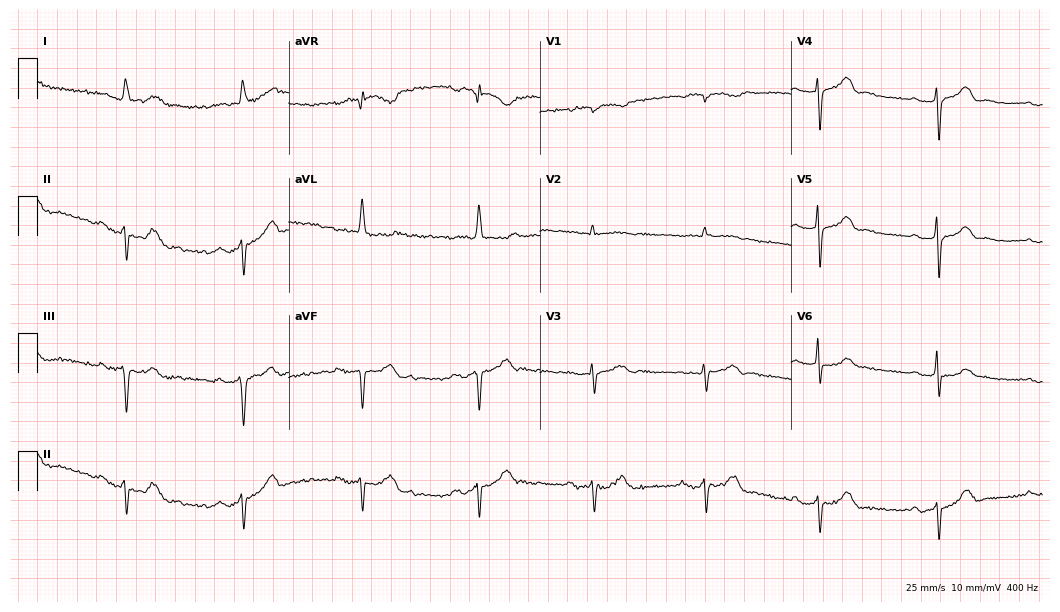
Electrocardiogram, a female patient, 85 years old. Of the six screened findings (first-degree AV block, right bundle branch block (RBBB), left bundle branch block (LBBB), sinus bradycardia, atrial fibrillation (AF), sinus tachycardia), none is recorded. Only these six findings were labelled.